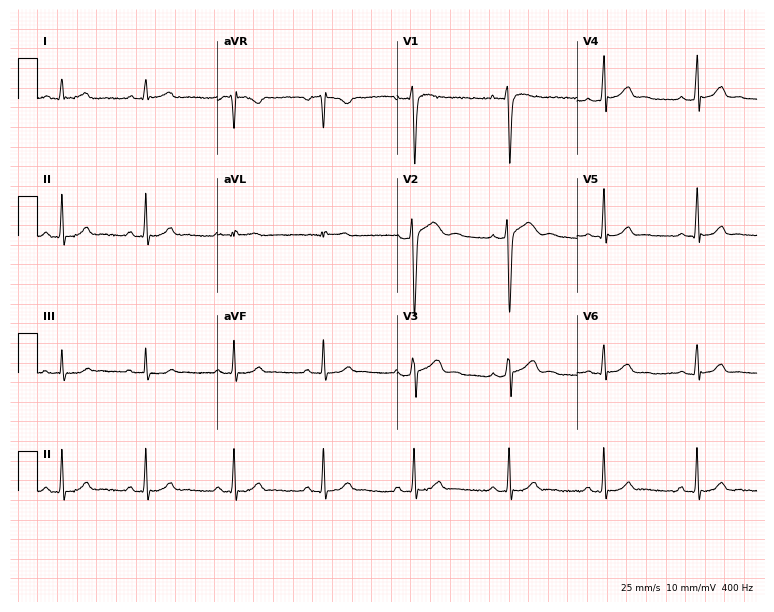
Standard 12-lead ECG recorded from a 23-year-old male patient (7.3-second recording at 400 Hz). None of these six findings is recorded: first-degree AV block, right bundle branch block, left bundle branch block, sinus bradycardia, atrial fibrillation, sinus tachycardia. Findings outside these six are not listed.